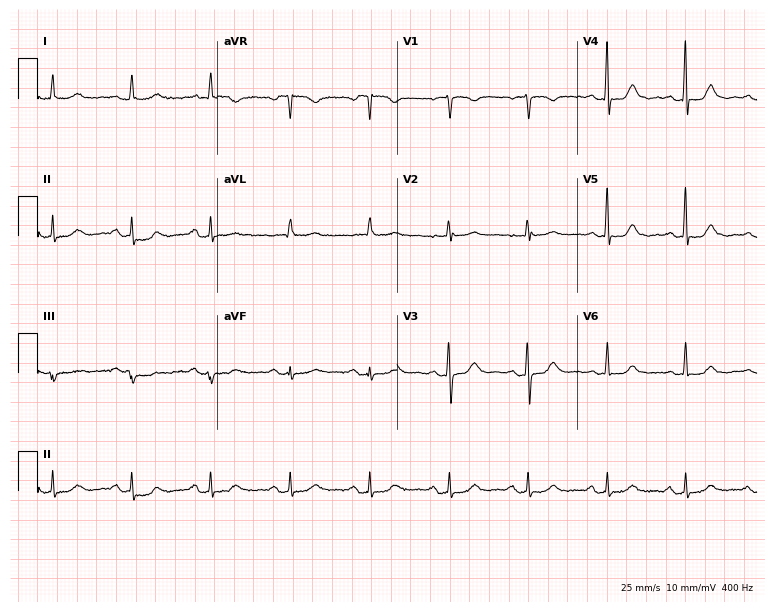
12-lead ECG from a woman, 68 years old. No first-degree AV block, right bundle branch block, left bundle branch block, sinus bradycardia, atrial fibrillation or sinus tachycardia recorded for this tracing.